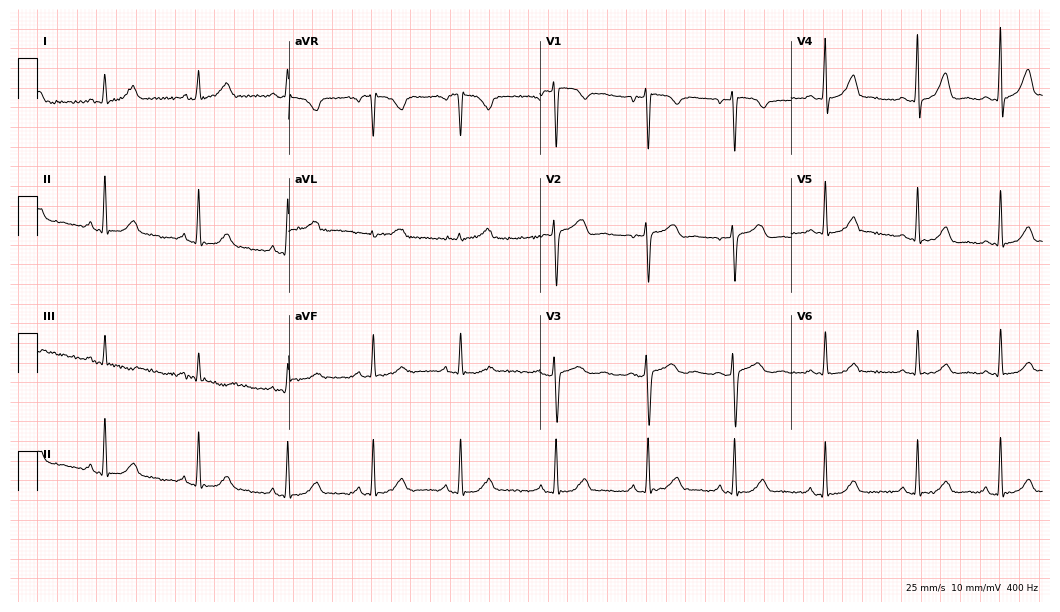
Resting 12-lead electrocardiogram (10.2-second recording at 400 Hz). Patient: a 32-year-old woman. Read as a normal ECG.